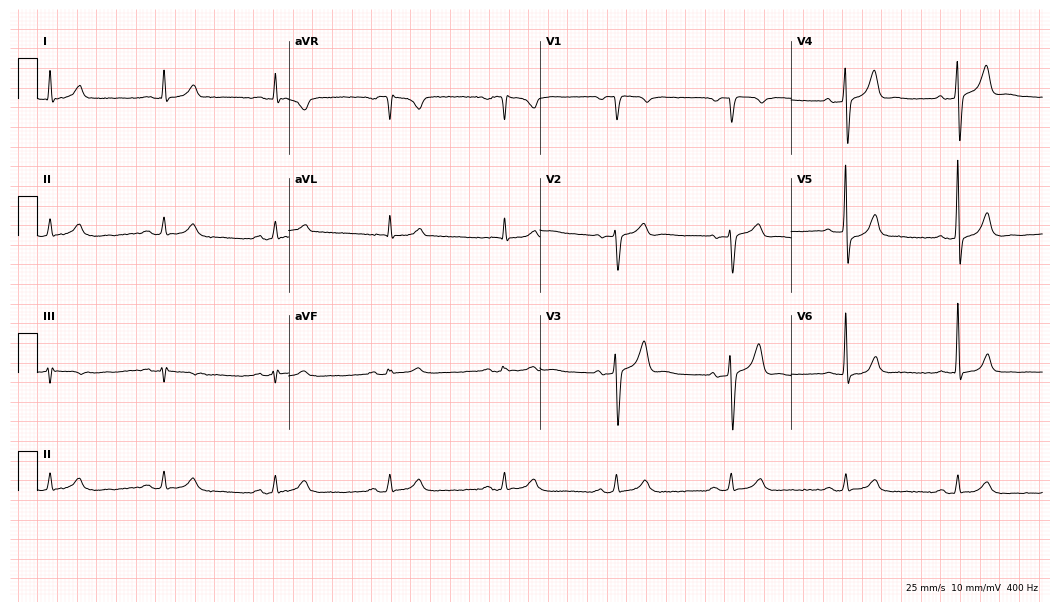
12-lead ECG from a 75-year-old male patient (10.2-second recording at 400 Hz). Recorded interpretation: within normal limits.